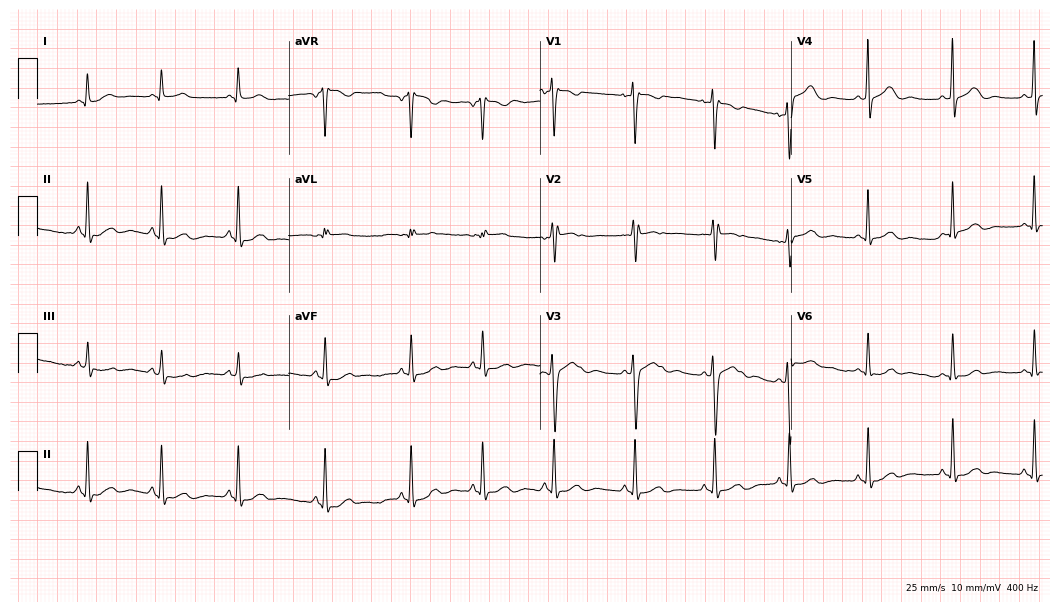
12-lead ECG from a 17-year-old female. Recorded interpretation: within normal limits.